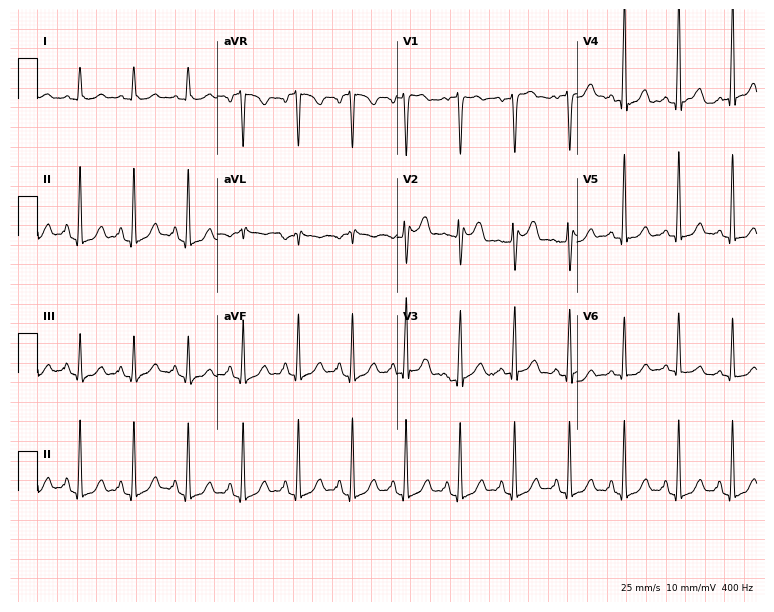
Standard 12-lead ECG recorded from a 58-year-old woman. The tracing shows sinus tachycardia (a sinus rate of 100 beats per minute or more).